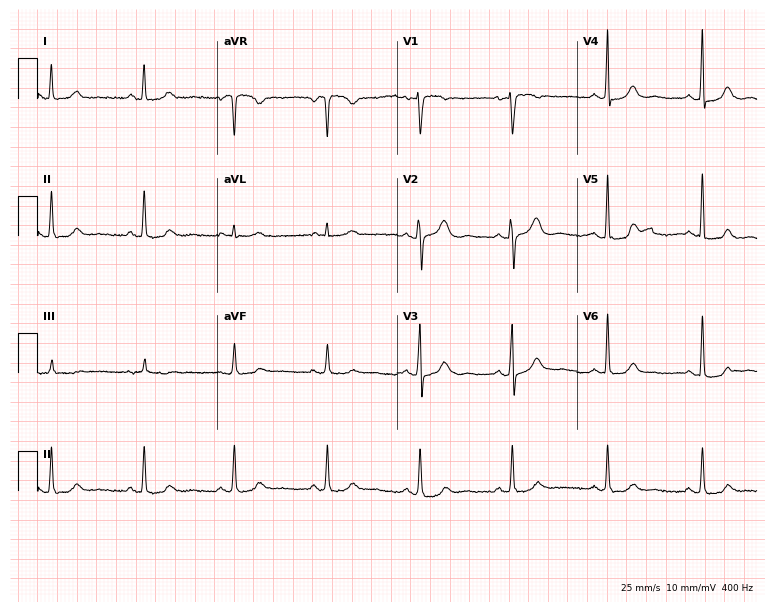
ECG (7.3-second recording at 400 Hz) — a female patient, 52 years old. Labelled as a normal ECG.